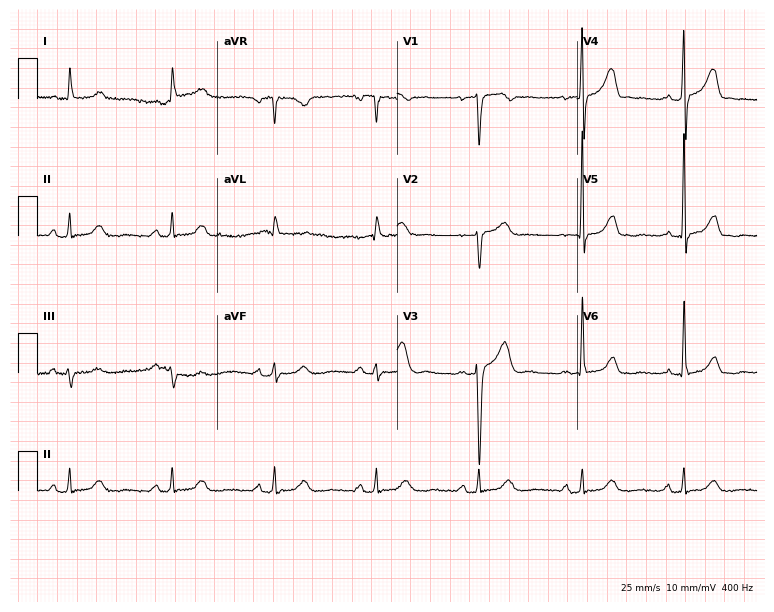
12-lead ECG from a female patient, 76 years old. Labelled as a normal ECG.